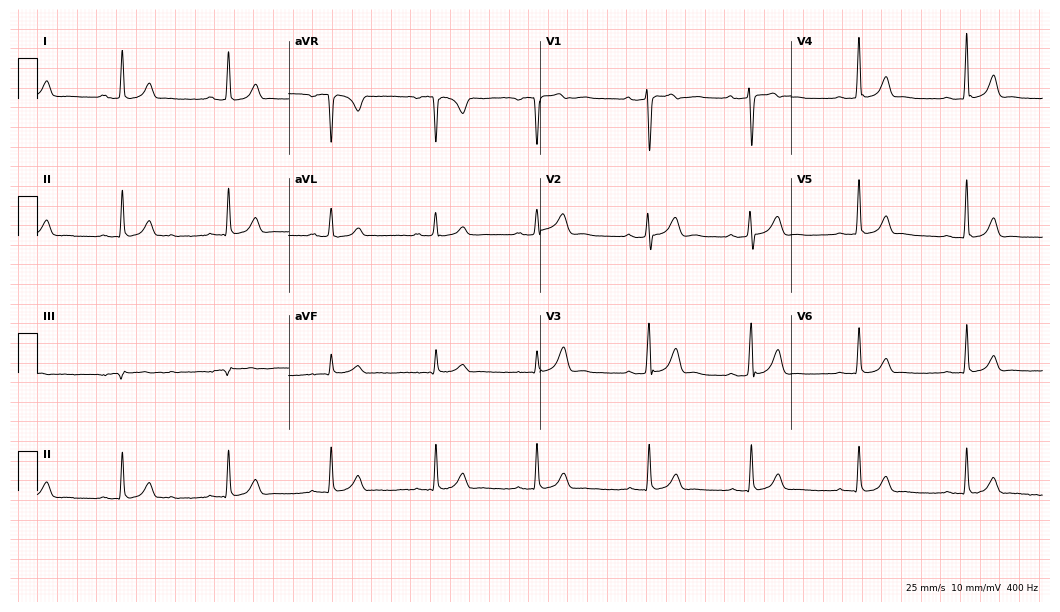
Standard 12-lead ECG recorded from a woman, 25 years old (10.2-second recording at 400 Hz). Read as a normal ECG.